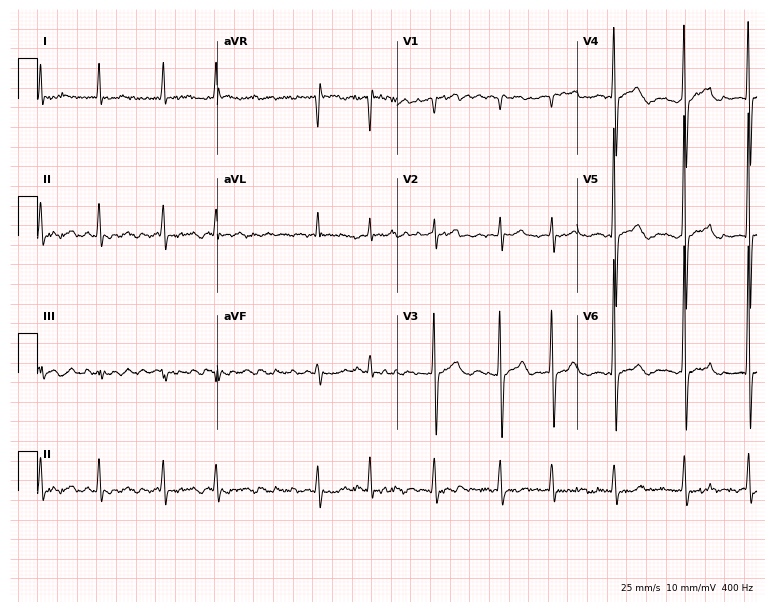
ECG — a woman, 78 years old. Findings include atrial fibrillation.